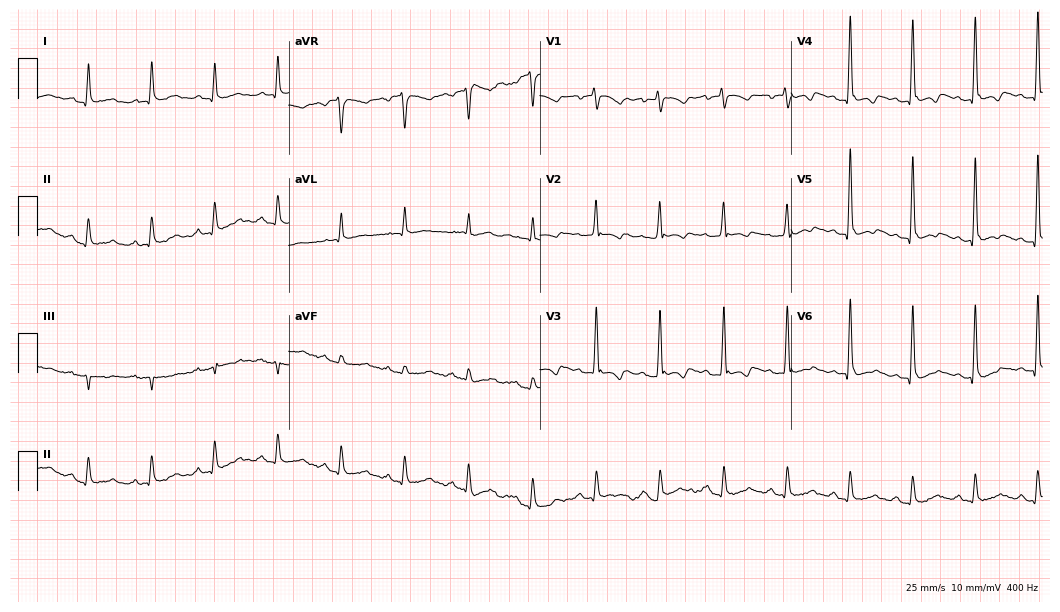
Electrocardiogram, a man, 73 years old. Of the six screened findings (first-degree AV block, right bundle branch block, left bundle branch block, sinus bradycardia, atrial fibrillation, sinus tachycardia), none is recorded. Other findings, if any, are not listed.